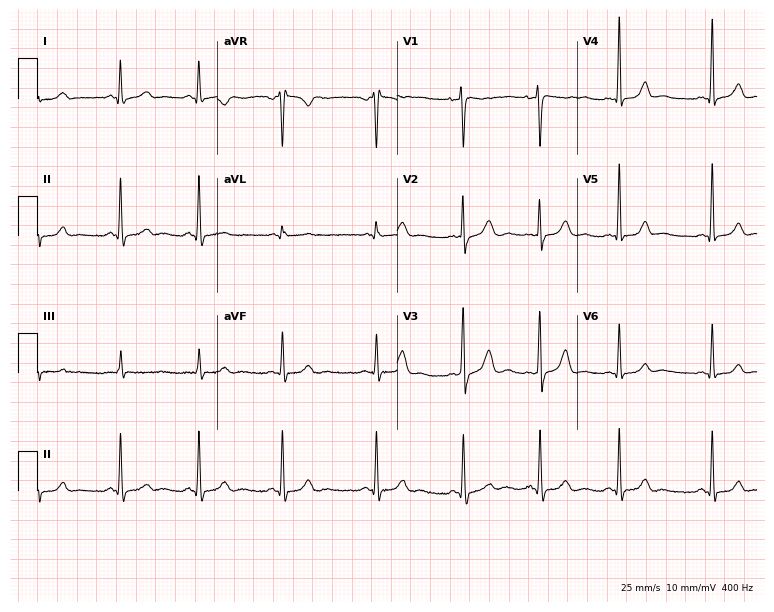
Electrocardiogram (7.3-second recording at 400 Hz), a female, 24 years old. Of the six screened findings (first-degree AV block, right bundle branch block (RBBB), left bundle branch block (LBBB), sinus bradycardia, atrial fibrillation (AF), sinus tachycardia), none is recorded. Other findings, if any, are not listed.